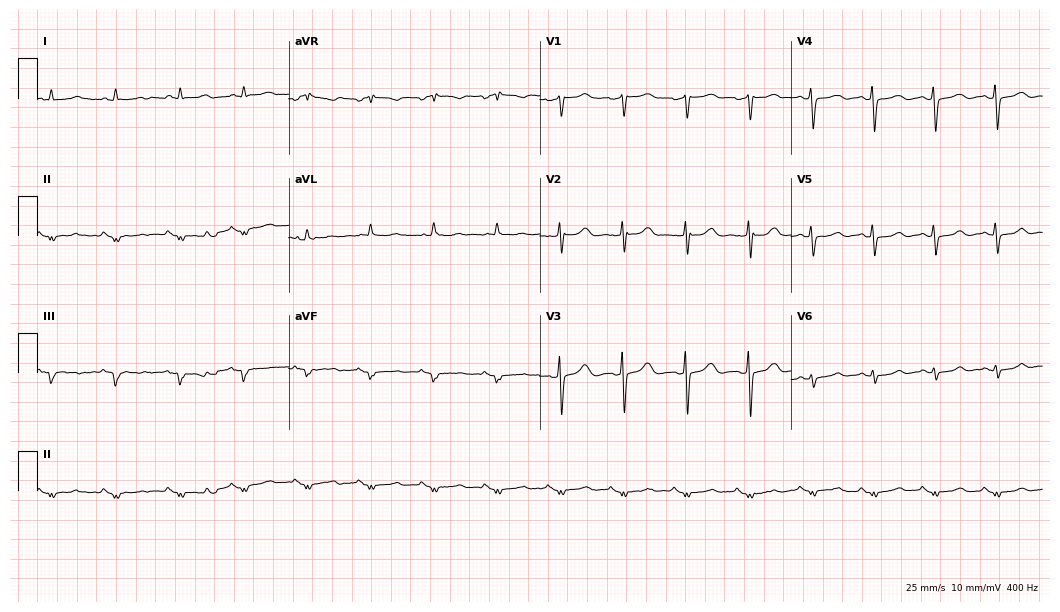
Resting 12-lead electrocardiogram (10.2-second recording at 400 Hz). Patient: a male, 83 years old. None of these six findings is recorded: first-degree AV block, right bundle branch block, left bundle branch block, sinus bradycardia, atrial fibrillation, sinus tachycardia. Other findings, if any, are not listed.